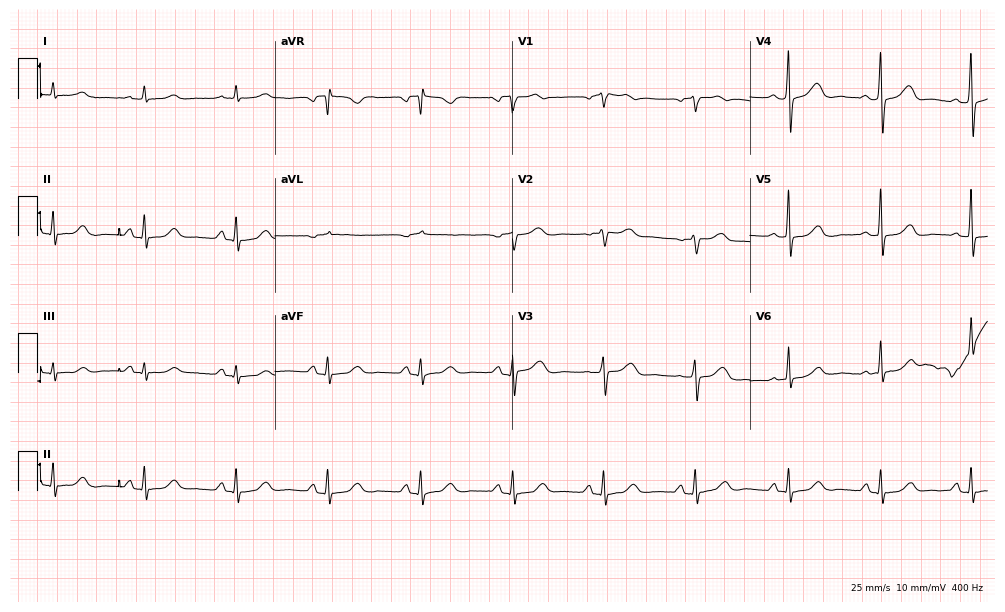
Resting 12-lead electrocardiogram. Patient: a female, 75 years old. Read as a normal ECG.